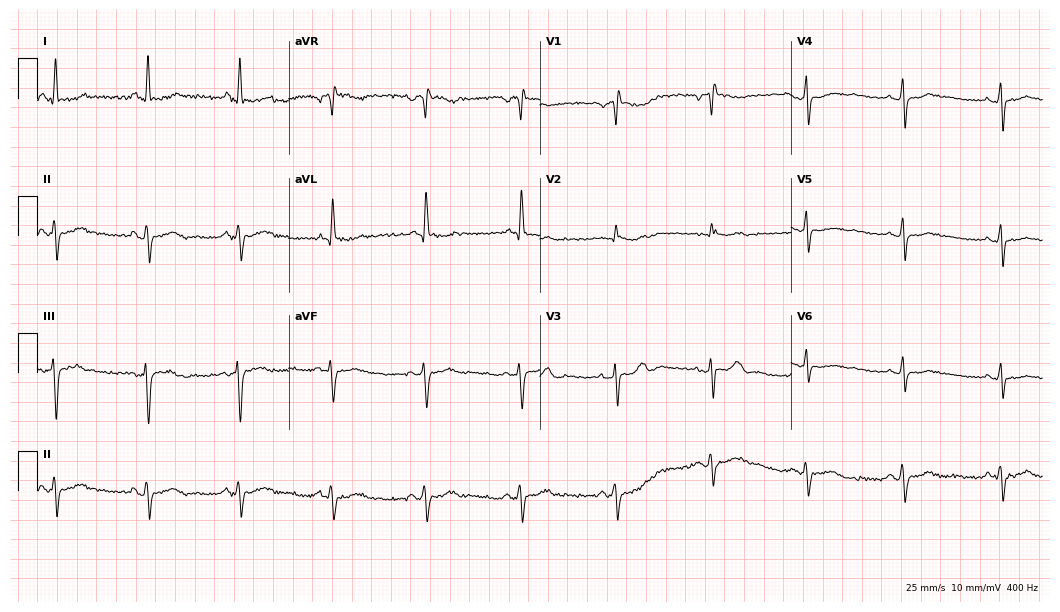
Electrocardiogram (10.2-second recording at 400 Hz), a 55-year-old female. Of the six screened findings (first-degree AV block, right bundle branch block (RBBB), left bundle branch block (LBBB), sinus bradycardia, atrial fibrillation (AF), sinus tachycardia), none is recorded.